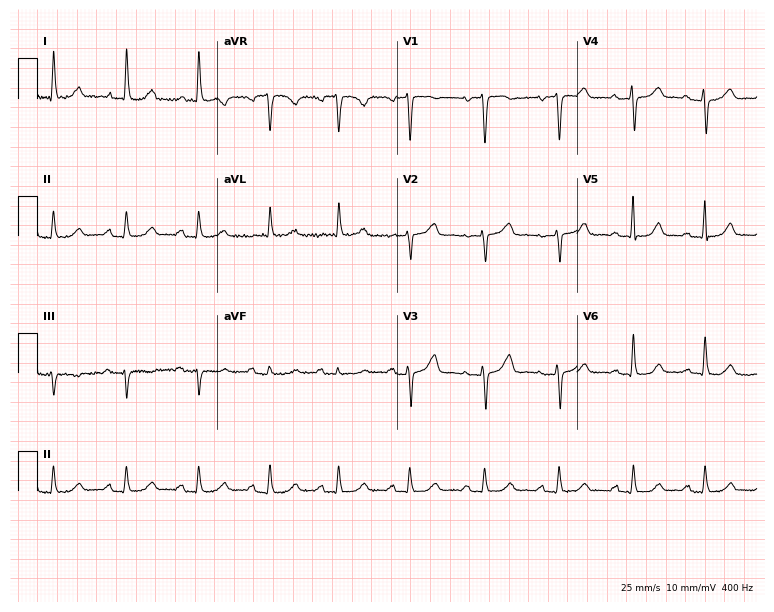
12-lead ECG (7.3-second recording at 400 Hz) from a 70-year-old female patient. Labelled as a normal ECG.